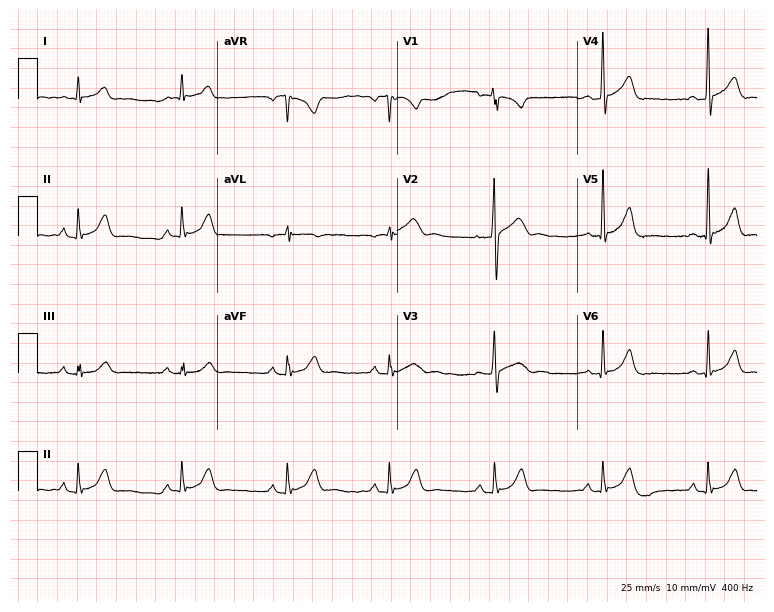
Standard 12-lead ECG recorded from a 50-year-old male (7.3-second recording at 400 Hz). Read as a normal ECG.